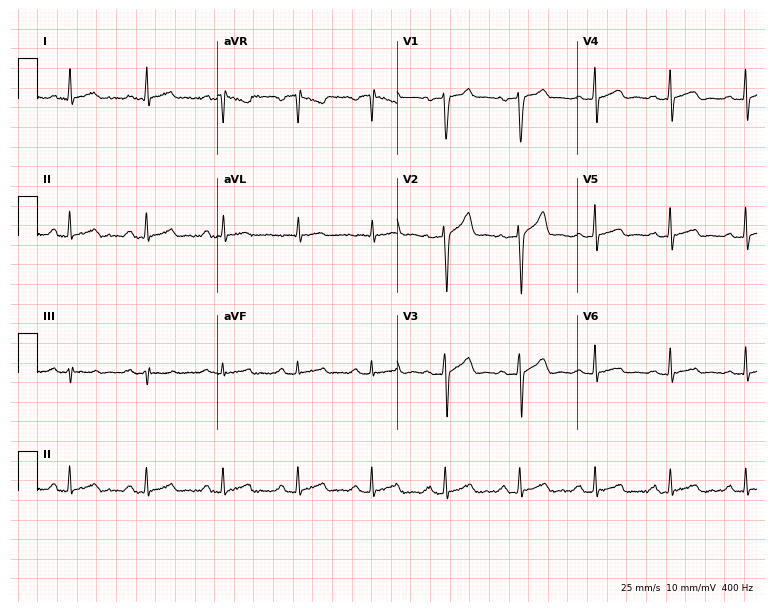
Electrocardiogram, a 52-year-old male. Overall reading on record: normal ECG.